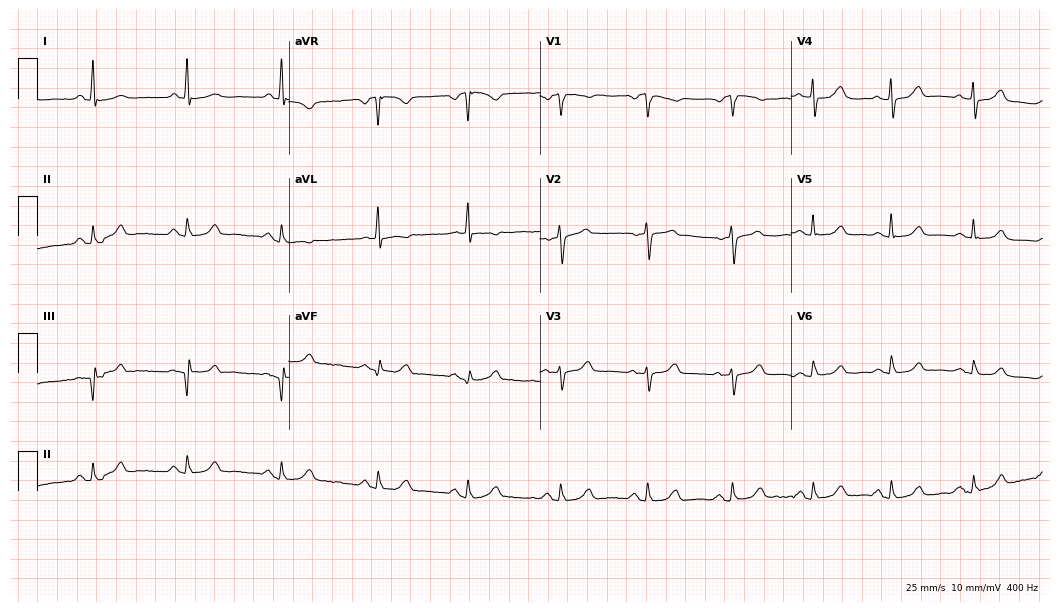
12-lead ECG from a female patient, 63 years old (10.2-second recording at 400 Hz). Recorded interpretation: within normal limits.